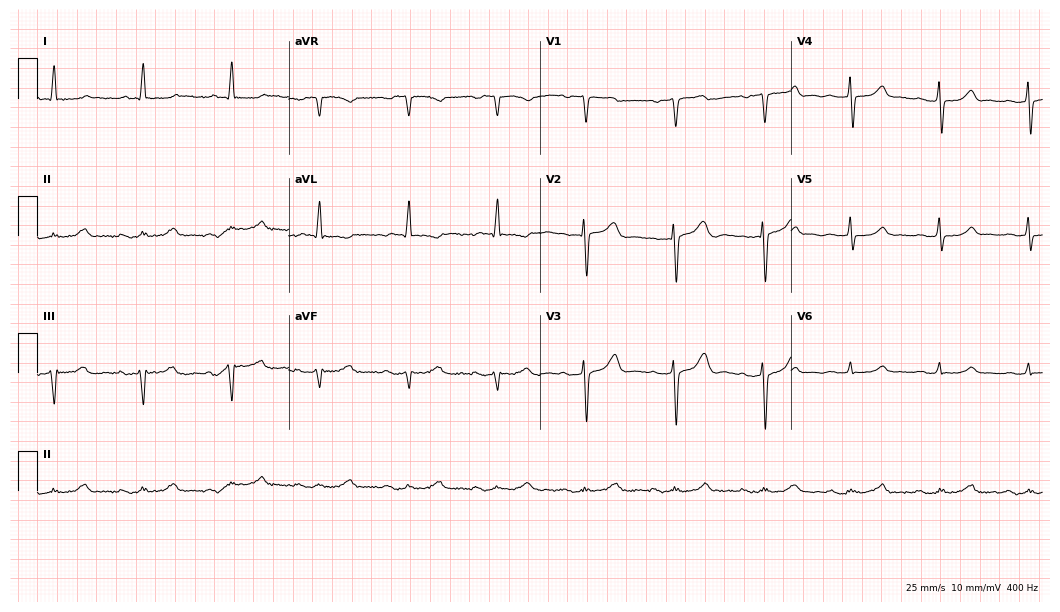
ECG — a 73-year-old male patient. Screened for six findings — first-degree AV block, right bundle branch block, left bundle branch block, sinus bradycardia, atrial fibrillation, sinus tachycardia — none is recorded.